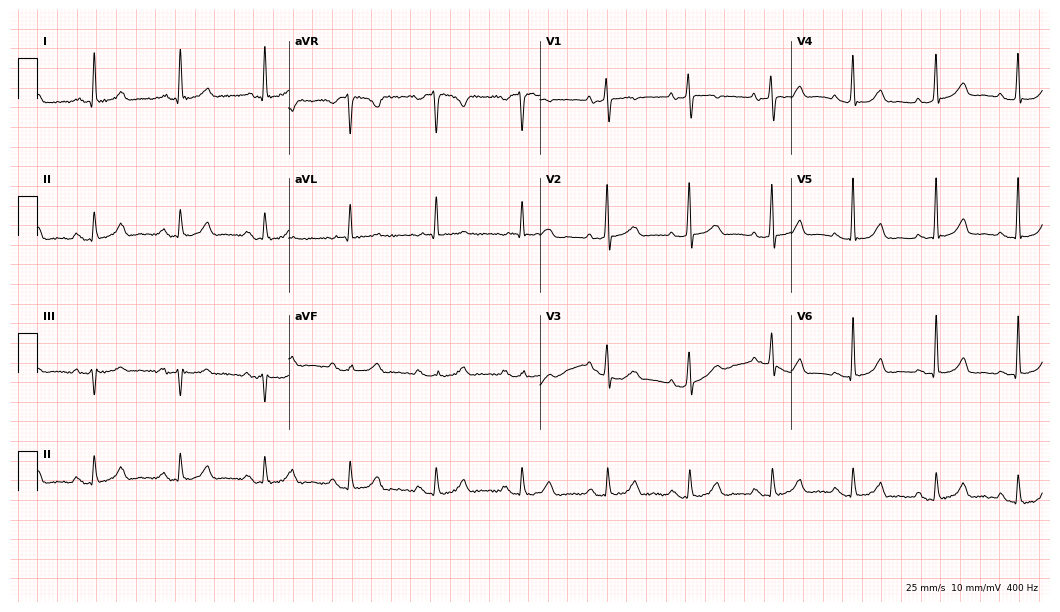
12-lead ECG from a female patient, 83 years old (10.2-second recording at 400 Hz). Recorded interpretation: within normal limits.